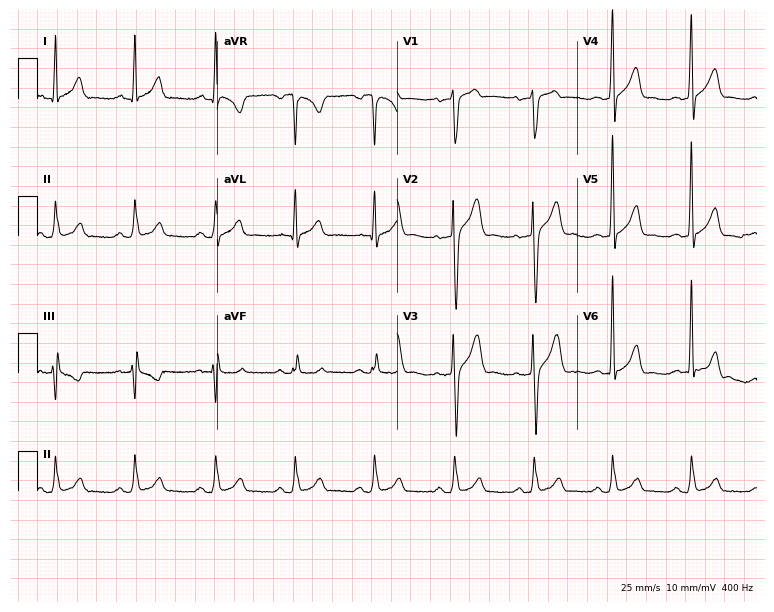
Electrocardiogram, a male patient, 29 years old. Of the six screened findings (first-degree AV block, right bundle branch block, left bundle branch block, sinus bradycardia, atrial fibrillation, sinus tachycardia), none is recorded. Other findings, if any, are not listed.